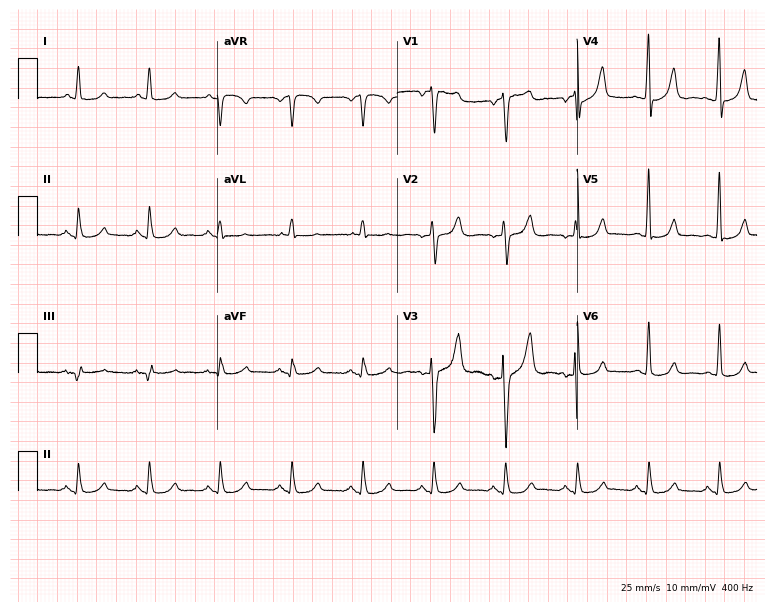
Resting 12-lead electrocardiogram. Patient: a woman, 72 years old. None of these six findings is recorded: first-degree AV block, right bundle branch block, left bundle branch block, sinus bradycardia, atrial fibrillation, sinus tachycardia.